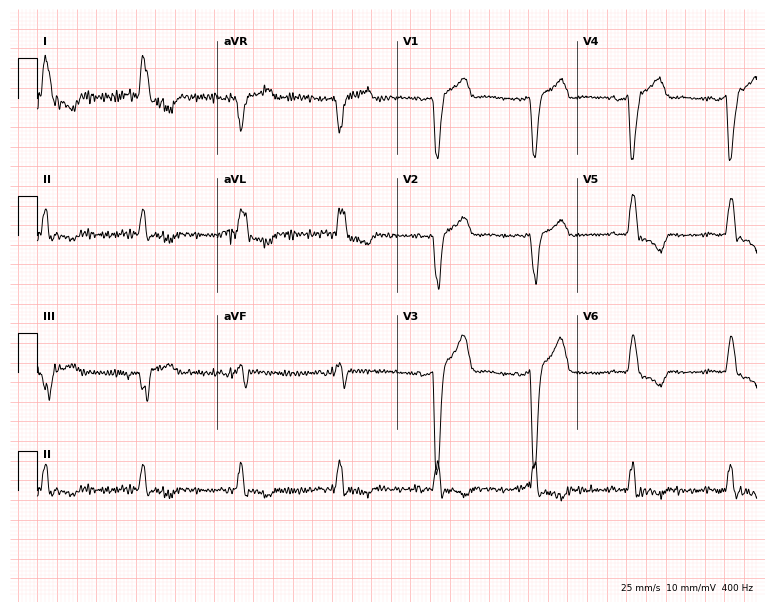
Resting 12-lead electrocardiogram (7.3-second recording at 400 Hz). Patient: a woman, 80 years old. None of these six findings is recorded: first-degree AV block, right bundle branch block, left bundle branch block, sinus bradycardia, atrial fibrillation, sinus tachycardia.